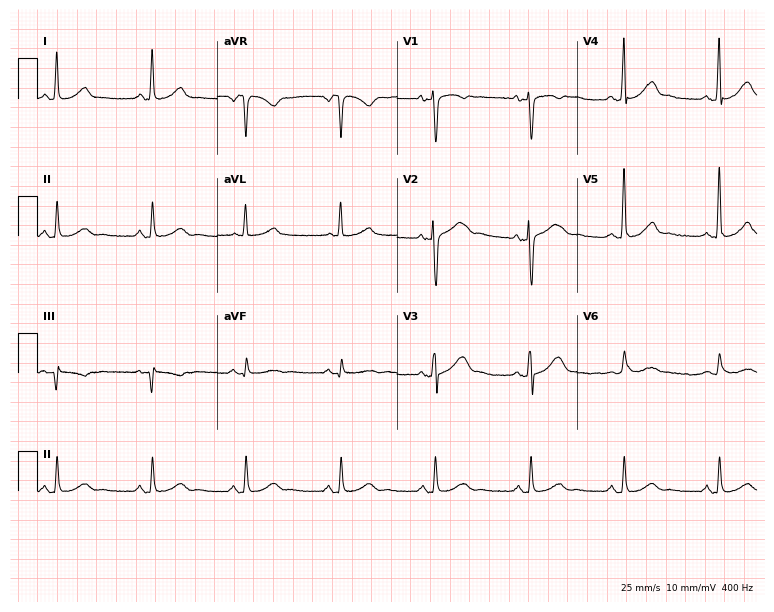
Electrocardiogram (7.3-second recording at 400 Hz), a female, 44 years old. Of the six screened findings (first-degree AV block, right bundle branch block, left bundle branch block, sinus bradycardia, atrial fibrillation, sinus tachycardia), none is recorded. Only these six findings were labelled.